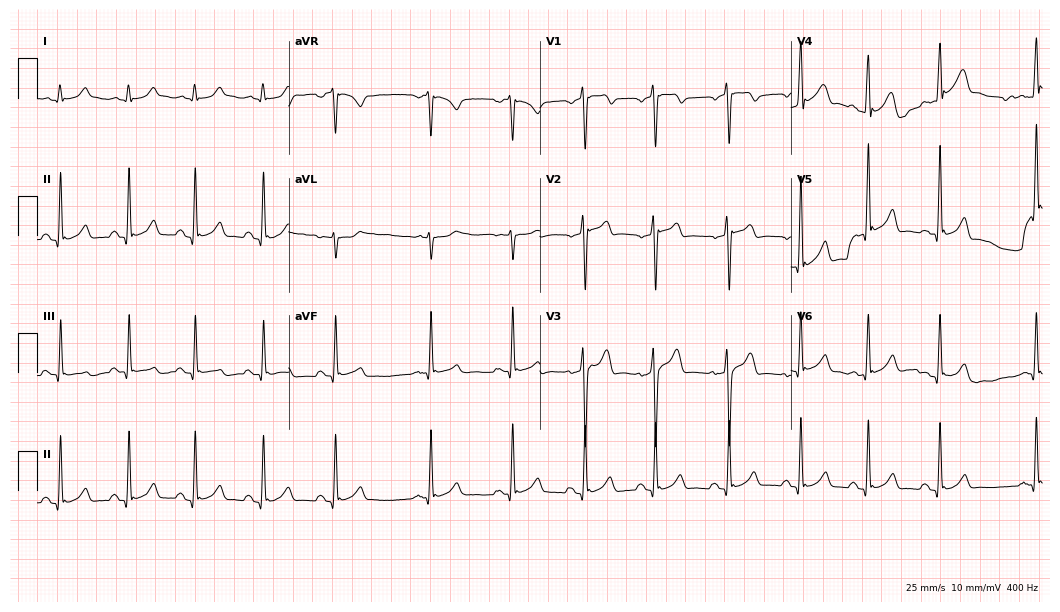
12-lead ECG from a 30-year-old male patient. Recorded interpretation: within normal limits.